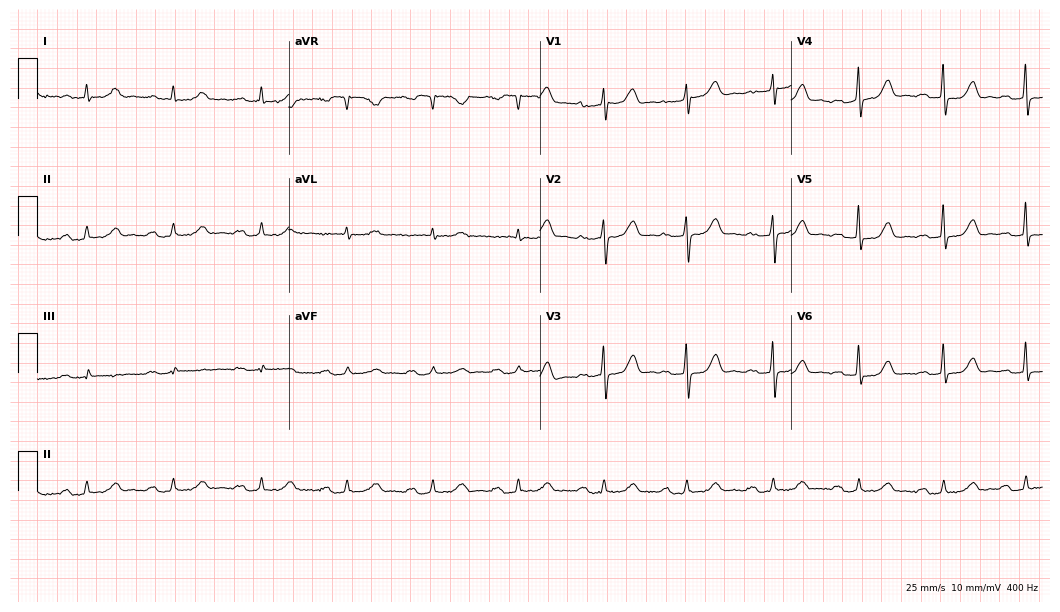
12-lead ECG from a female patient, 82 years old (10.2-second recording at 400 Hz). Recorded interpretation: within normal limits.